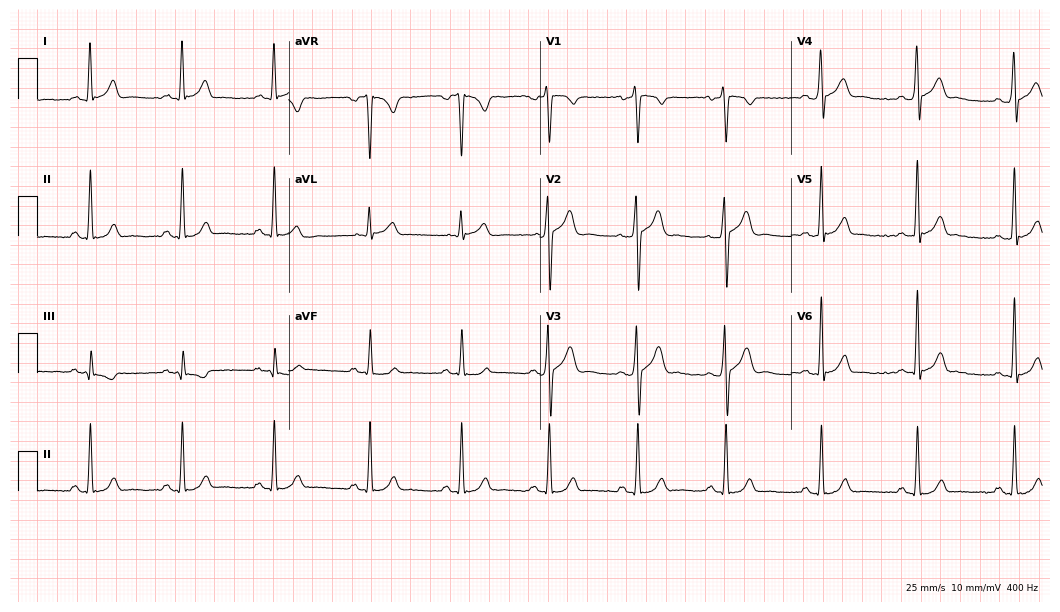
12-lead ECG (10.2-second recording at 400 Hz) from a man, 20 years old. Labelled as a normal ECG.